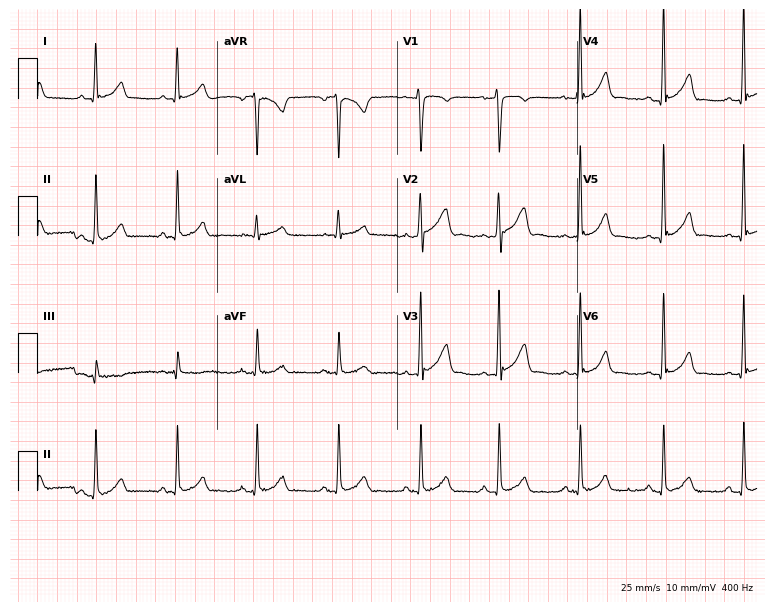
Standard 12-lead ECG recorded from a 39-year-old man (7.3-second recording at 400 Hz). Read as a normal ECG.